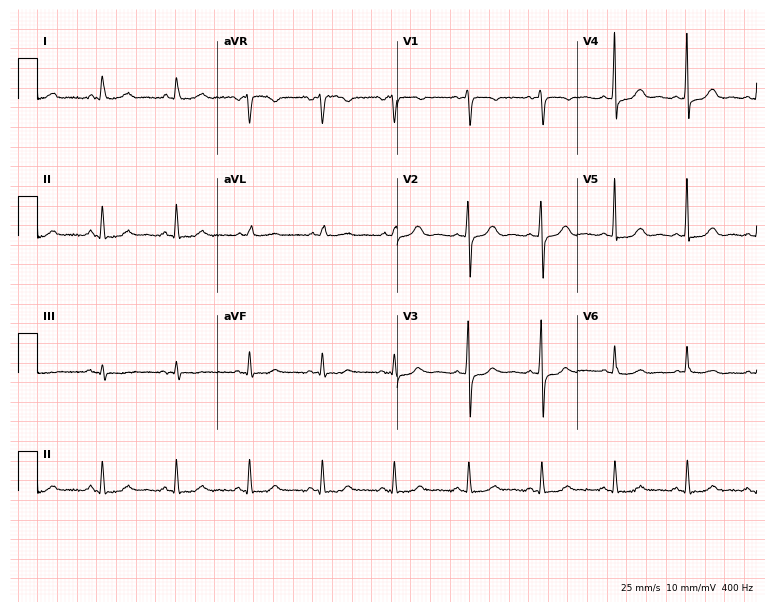
Resting 12-lead electrocardiogram (7.3-second recording at 400 Hz). Patient: a female, 35 years old. None of these six findings is recorded: first-degree AV block, right bundle branch block, left bundle branch block, sinus bradycardia, atrial fibrillation, sinus tachycardia.